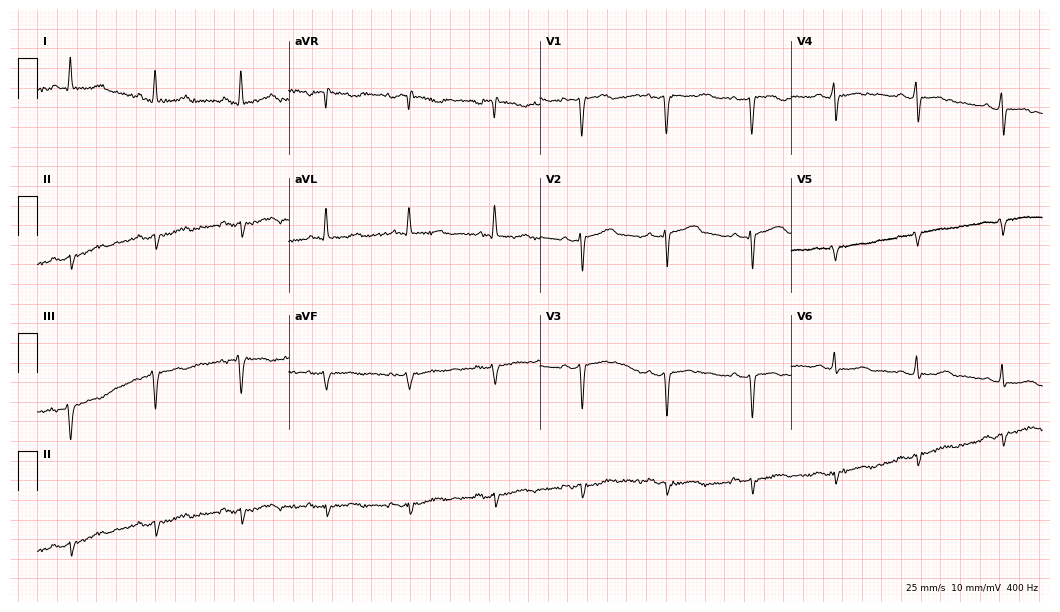
Electrocardiogram, a 62-year-old woman. Of the six screened findings (first-degree AV block, right bundle branch block, left bundle branch block, sinus bradycardia, atrial fibrillation, sinus tachycardia), none is recorded.